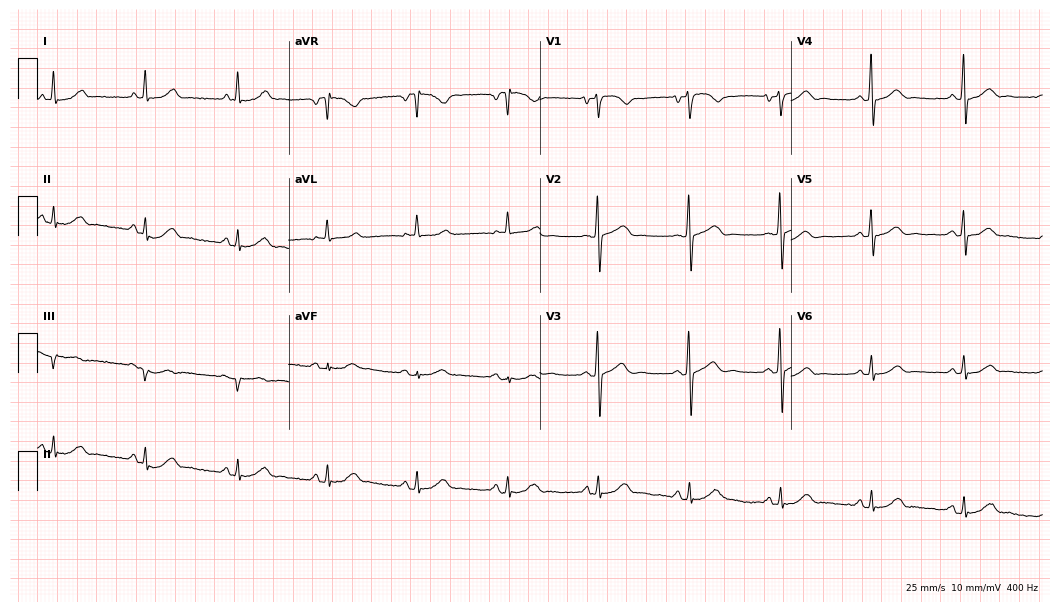
Electrocardiogram (10.2-second recording at 400 Hz), a man, 60 years old. Overall reading on record: normal ECG.